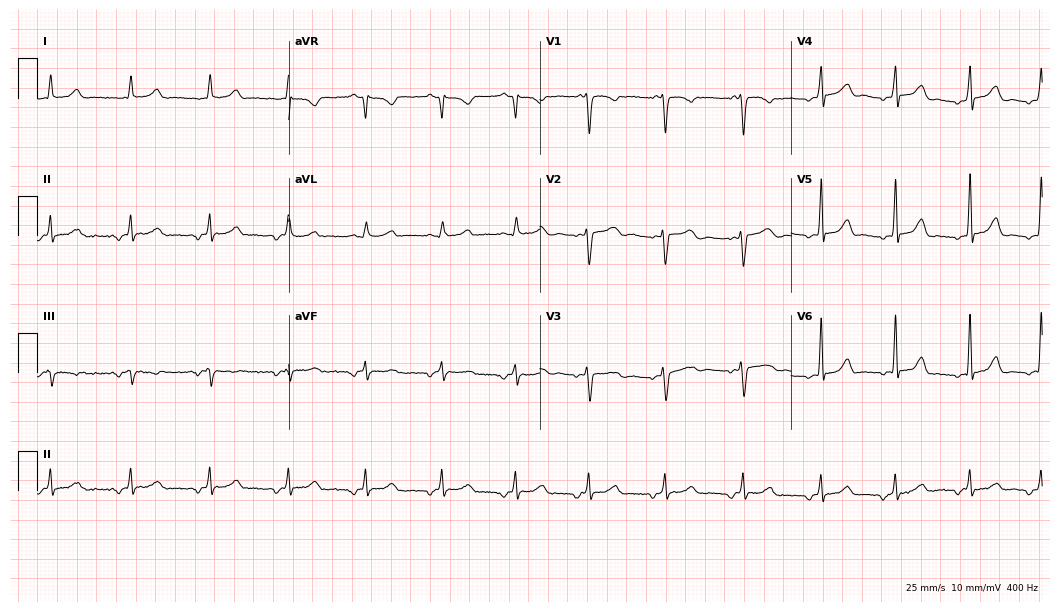
Resting 12-lead electrocardiogram. Patient: a woman, 31 years old. None of these six findings is recorded: first-degree AV block, right bundle branch block, left bundle branch block, sinus bradycardia, atrial fibrillation, sinus tachycardia.